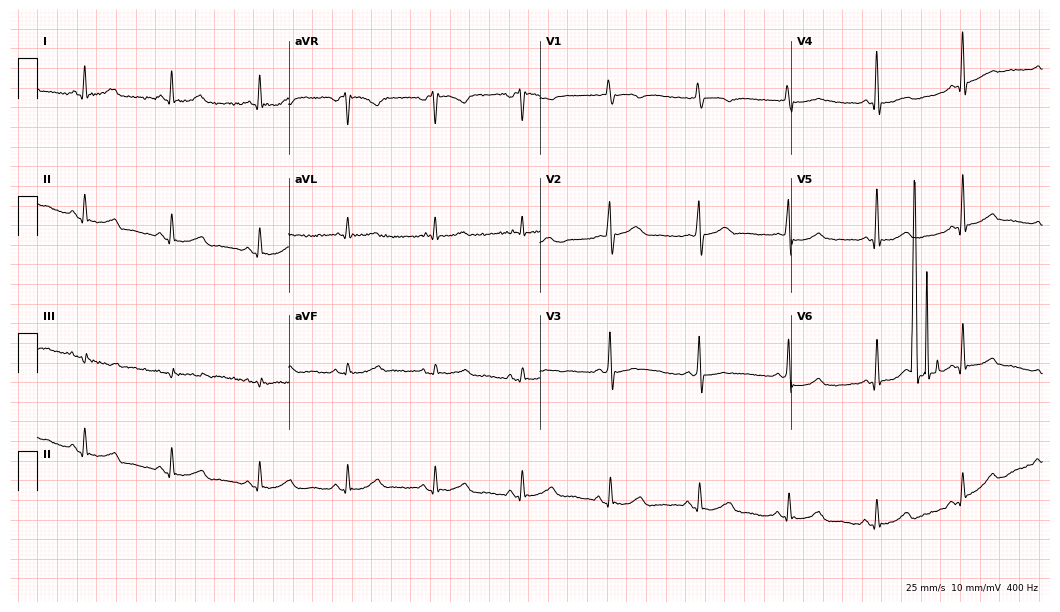
12-lead ECG from a 66-year-old female patient (10.2-second recording at 400 Hz). No first-degree AV block, right bundle branch block, left bundle branch block, sinus bradycardia, atrial fibrillation or sinus tachycardia recorded for this tracing. Findings outside these six are not listed.